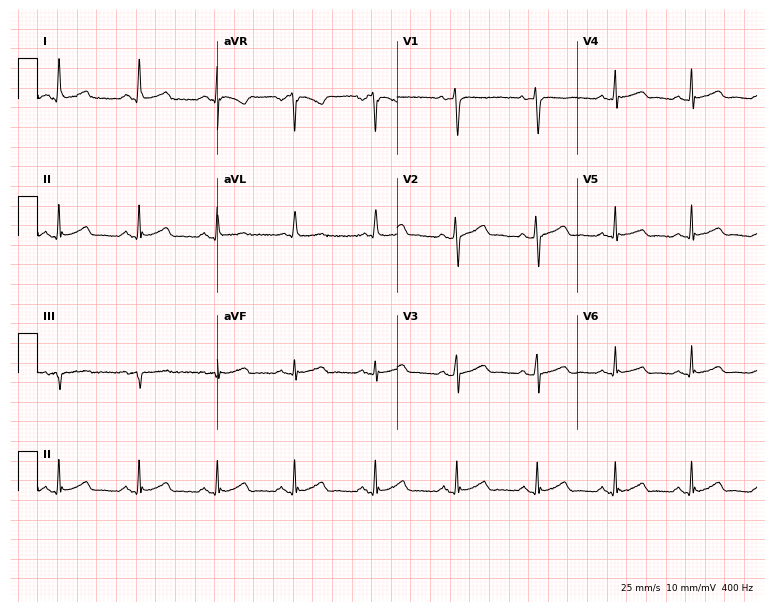
Standard 12-lead ECG recorded from a female, 49 years old (7.3-second recording at 400 Hz). None of these six findings is recorded: first-degree AV block, right bundle branch block, left bundle branch block, sinus bradycardia, atrial fibrillation, sinus tachycardia. Only these six findings were labelled.